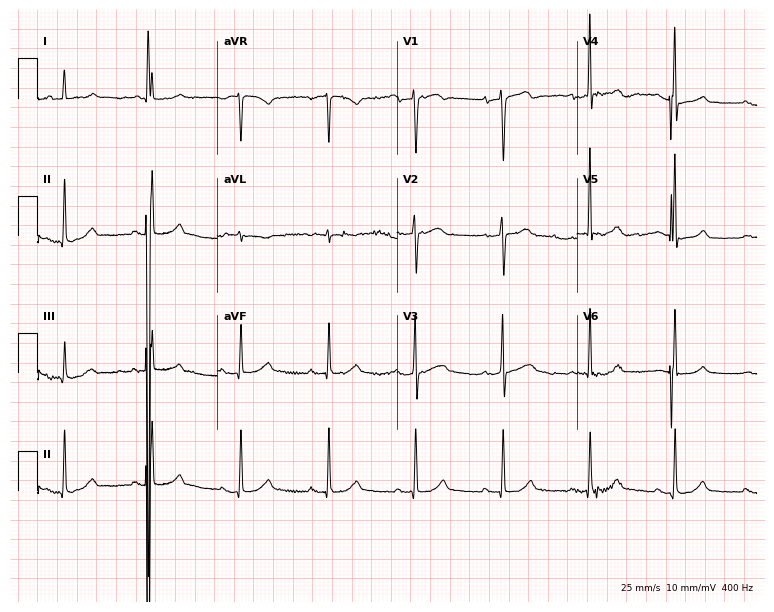
Standard 12-lead ECG recorded from a man, 82 years old. Read as a normal ECG.